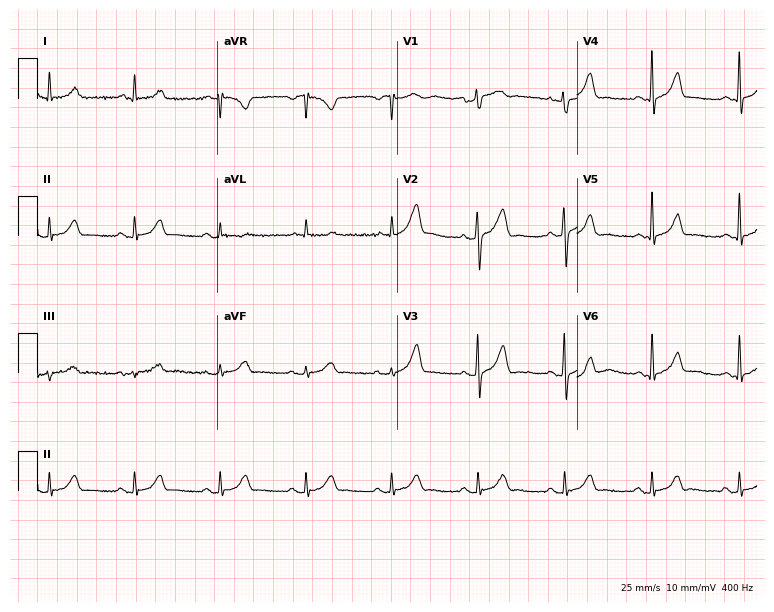
12-lead ECG from a male, 73 years old. Labelled as a normal ECG.